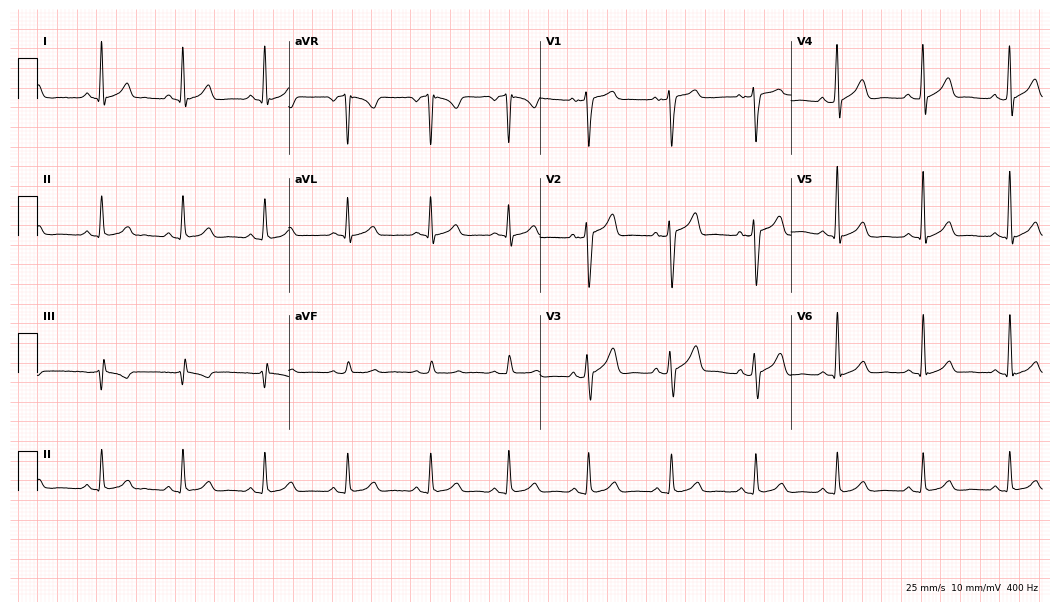
Standard 12-lead ECG recorded from a 35-year-old male (10.2-second recording at 400 Hz). Read as a normal ECG.